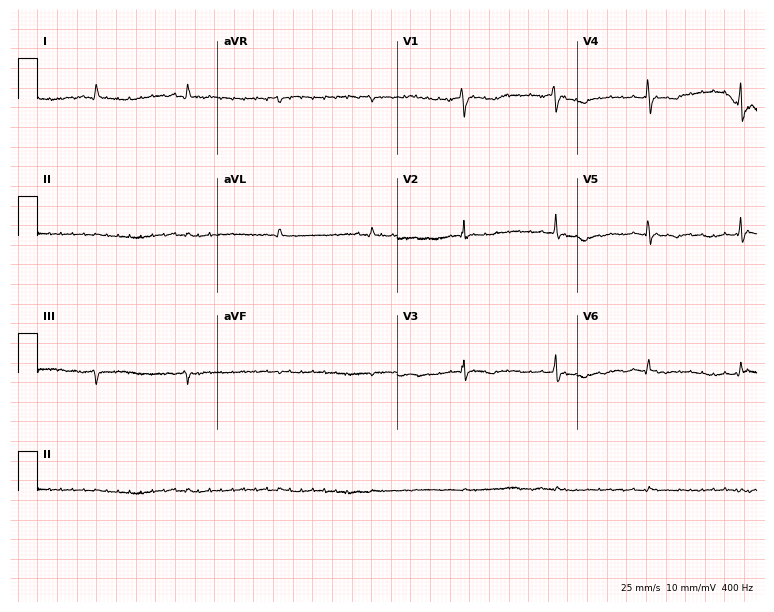
ECG — a man, 77 years old. Screened for six findings — first-degree AV block, right bundle branch block (RBBB), left bundle branch block (LBBB), sinus bradycardia, atrial fibrillation (AF), sinus tachycardia — none is recorded.